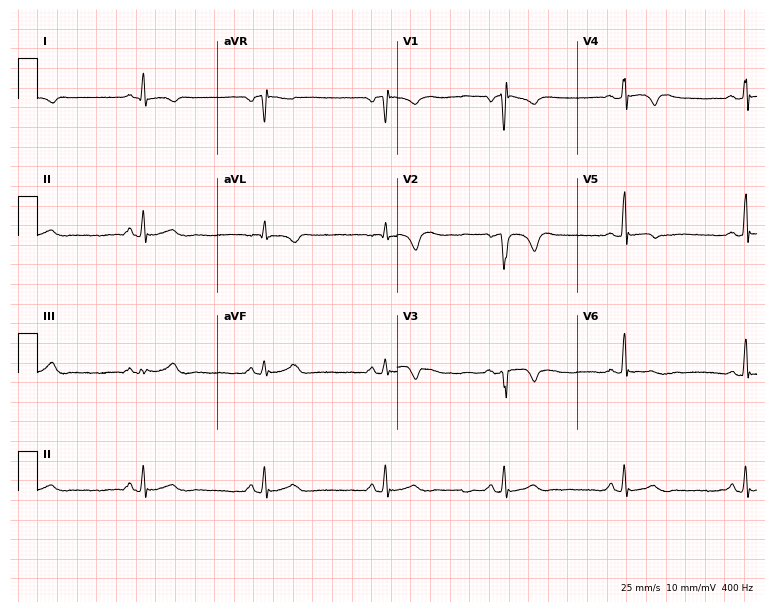
Standard 12-lead ECG recorded from a 58-year-old male. None of these six findings is recorded: first-degree AV block, right bundle branch block (RBBB), left bundle branch block (LBBB), sinus bradycardia, atrial fibrillation (AF), sinus tachycardia. Only these six findings were labelled.